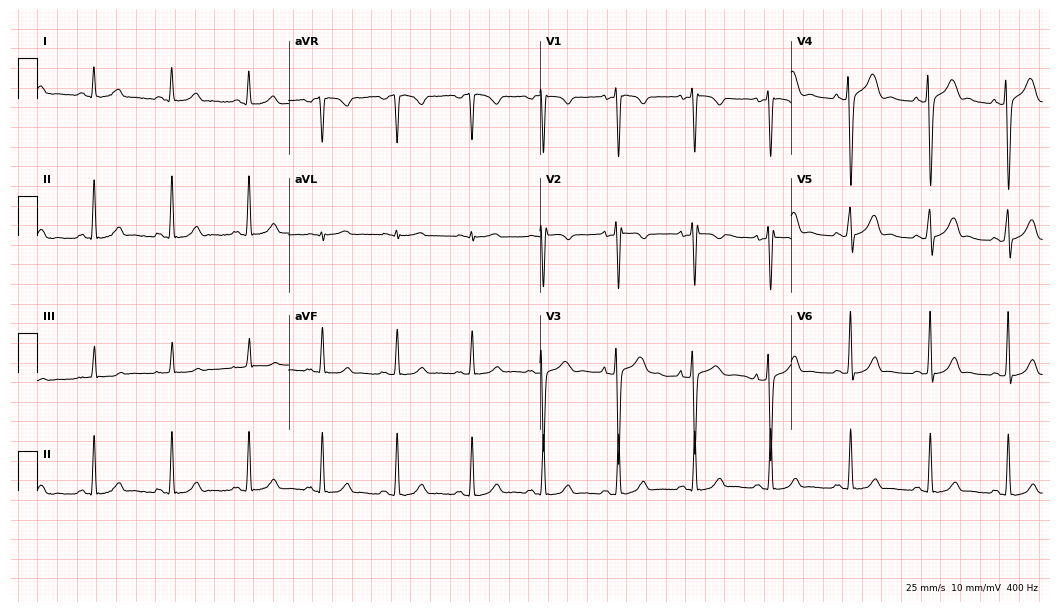
Electrocardiogram (10.2-second recording at 400 Hz), a woman, 30 years old. Of the six screened findings (first-degree AV block, right bundle branch block, left bundle branch block, sinus bradycardia, atrial fibrillation, sinus tachycardia), none is recorded. Only these six findings were labelled.